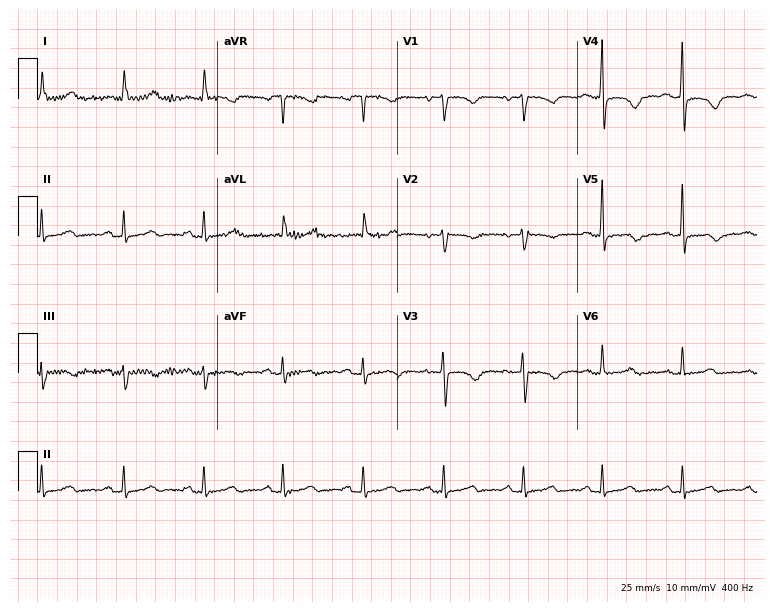
Resting 12-lead electrocardiogram (7.3-second recording at 400 Hz). Patient: a woman, 75 years old. None of these six findings is recorded: first-degree AV block, right bundle branch block, left bundle branch block, sinus bradycardia, atrial fibrillation, sinus tachycardia. Only these six findings were labelled.